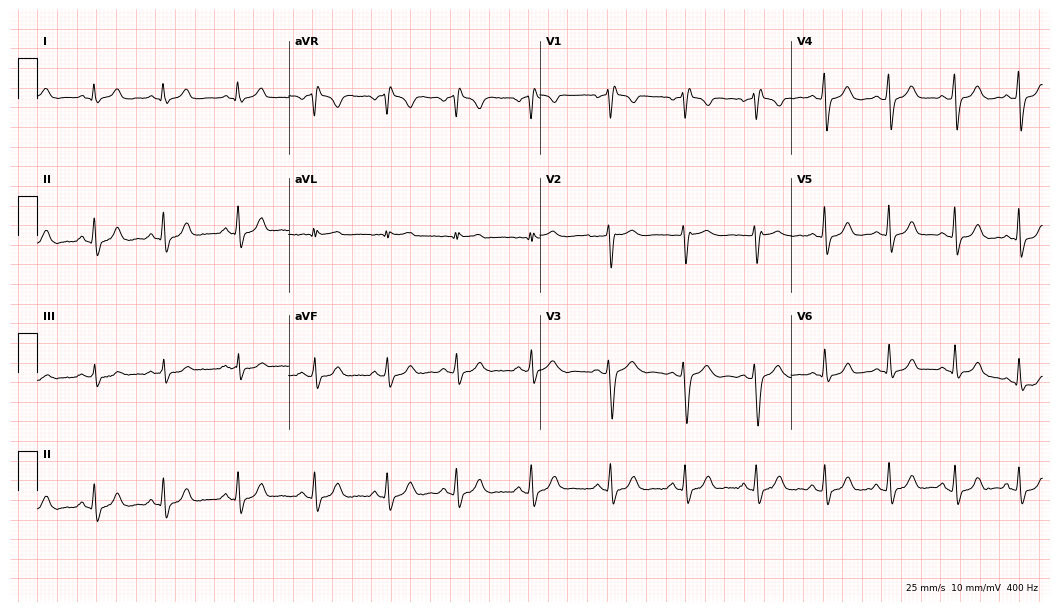
12-lead ECG from a 30-year-old woman. Screened for six findings — first-degree AV block, right bundle branch block, left bundle branch block, sinus bradycardia, atrial fibrillation, sinus tachycardia — none is recorded. Findings outside these six are not listed.